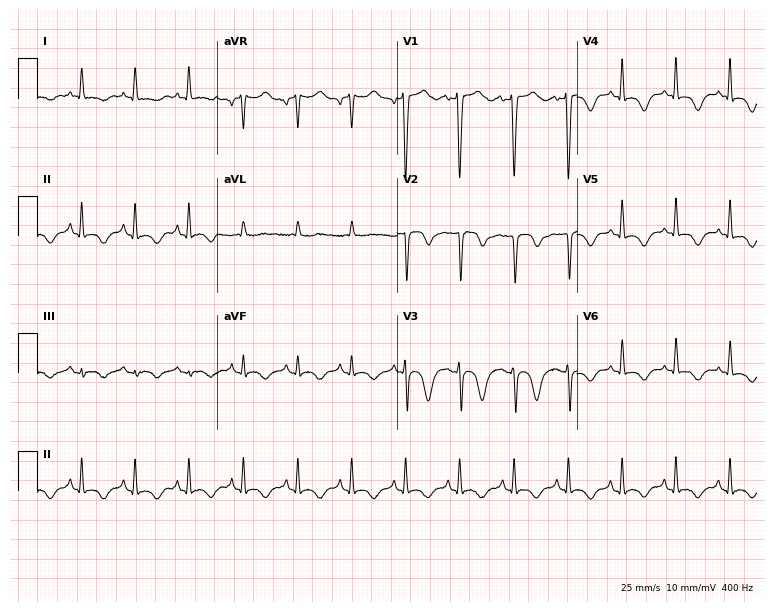
Standard 12-lead ECG recorded from an 80-year-old female patient. None of these six findings is recorded: first-degree AV block, right bundle branch block (RBBB), left bundle branch block (LBBB), sinus bradycardia, atrial fibrillation (AF), sinus tachycardia.